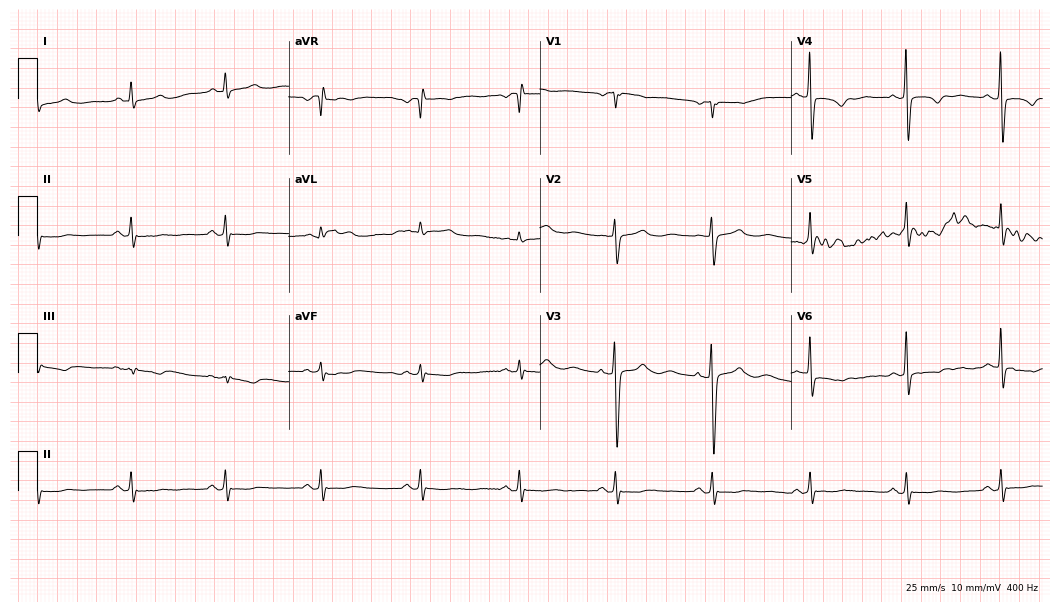
Standard 12-lead ECG recorded from a female, 61 years old (10.2-second recording at 400 Hz). None of these six findings is recorded: first-degree AV block, right bundle branch block (RBBB), left bundle branch block (LBBB), sinus bradycardia, atrial fibrillation (AF), sinus tachycardia. Only these six findings were labelled.